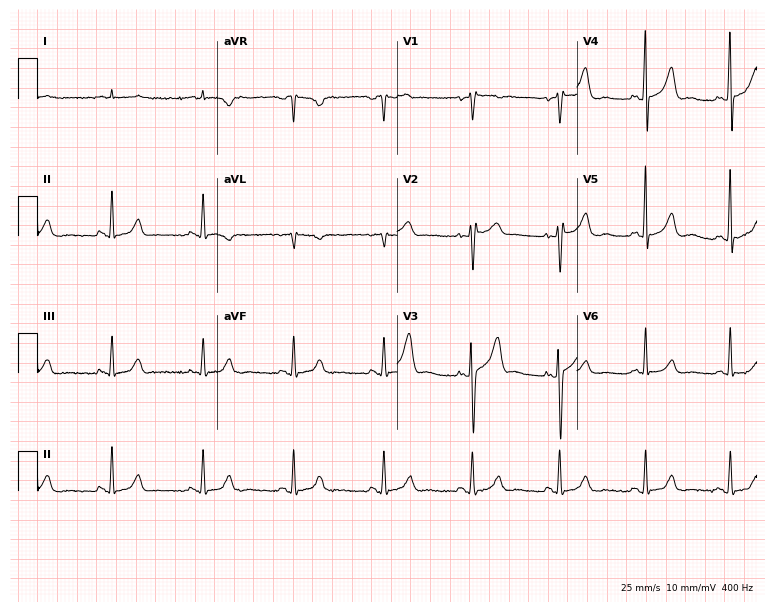
12-lead ECG (7.3-second recording at 400 Hz) from a man, 58 years old. Screened for six findings — first-degree AV block, right bundle branch block, left bundle branch block, sinus bradycardia, atrial fibrillation, sinus tachycardia — none is recorded. Only these six findings were labelled.